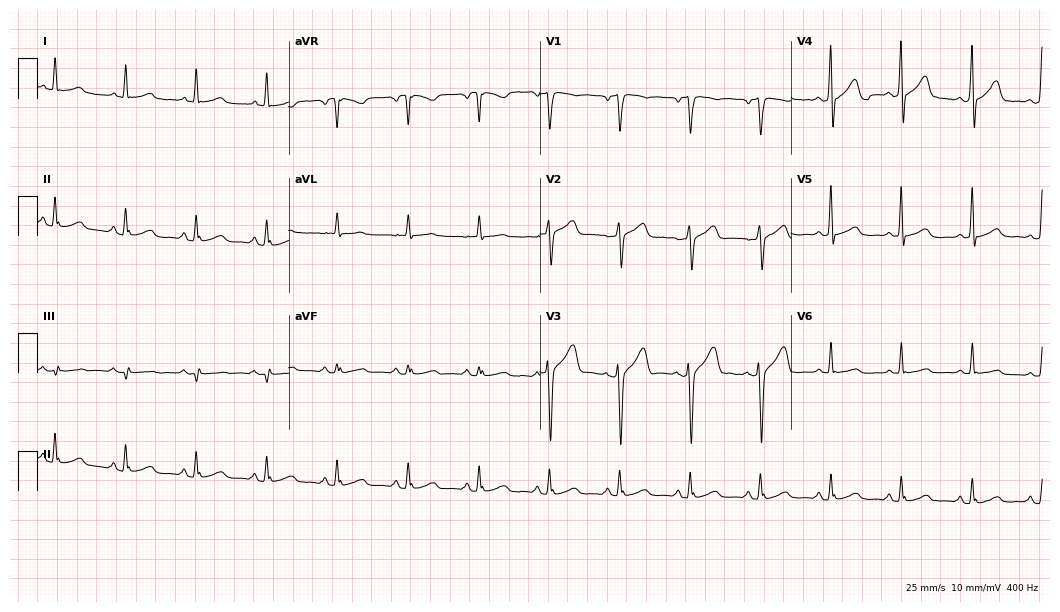
Standard 12-lead ECG recorded from a 59-year-old man. None of these six findings is recorded: first-degree AV block, right bundle branch block (RBBB), left bundle branch block (LBBB), sinus bradycardia, atrial fibrillation (AF), sinus tachycardia. Only these six findings were labelled.